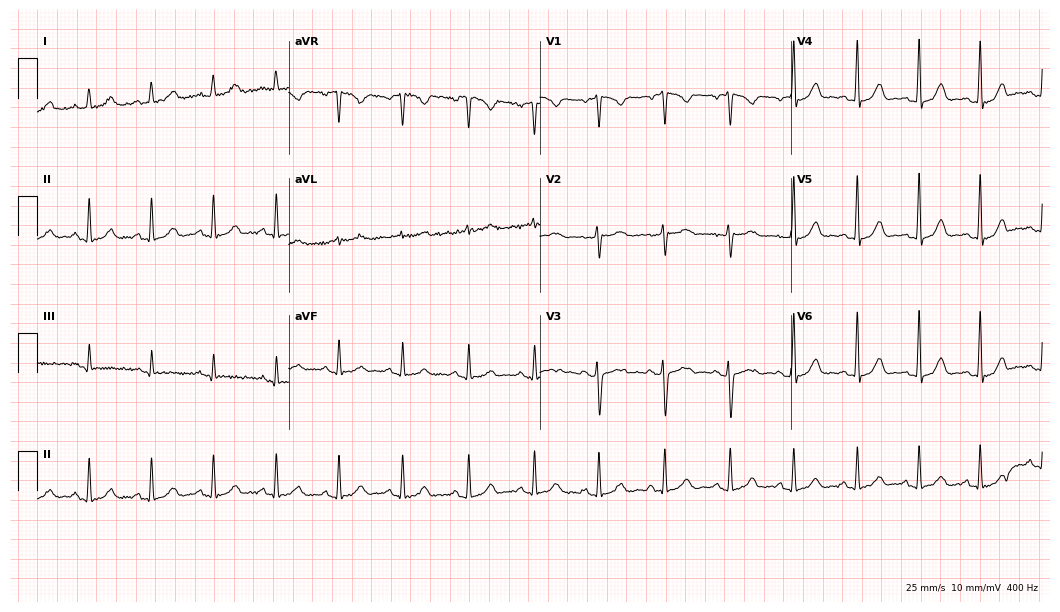
ECG — a woman, 33 years old. Labelled as a normal ECG.